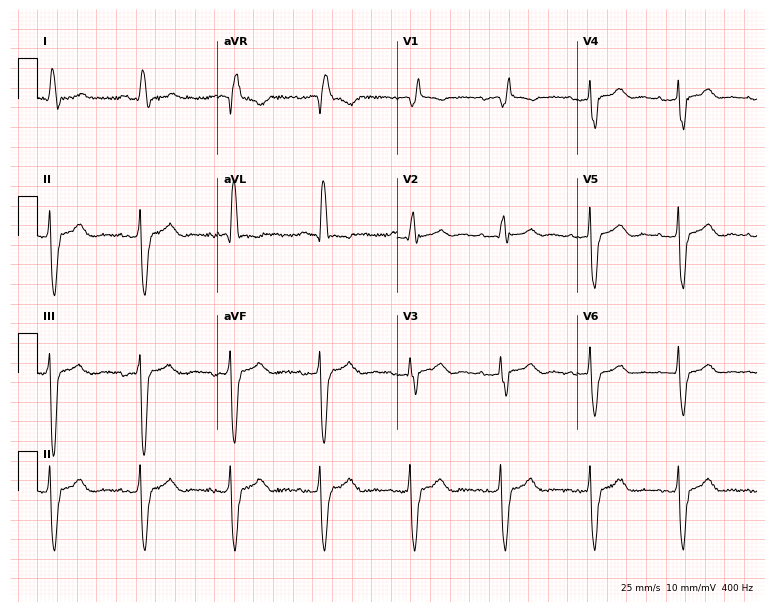
Standard 12-lead ECG recorded from a 76-year-old female (7.3-second recording at 400 Hz). The tracing shows right bundle branch block.